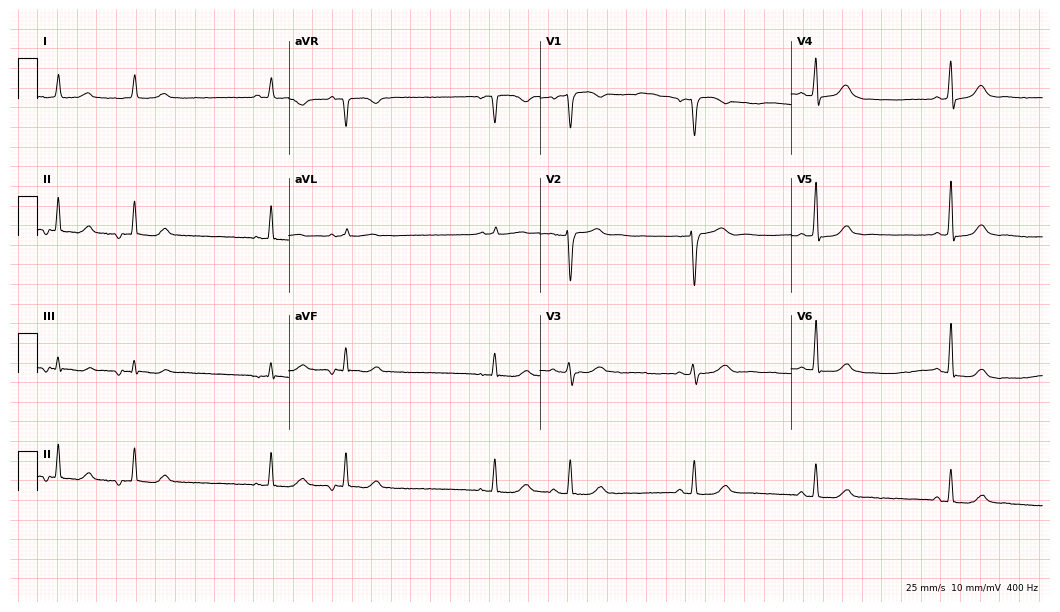
ECG — a woman, 68 years old. Screened for six findings — first-degree AV block, right bundle branch block, left bundle branch block, sinus bradycardia, atrial fibrillation, sinus tachycardia — none is recorded.